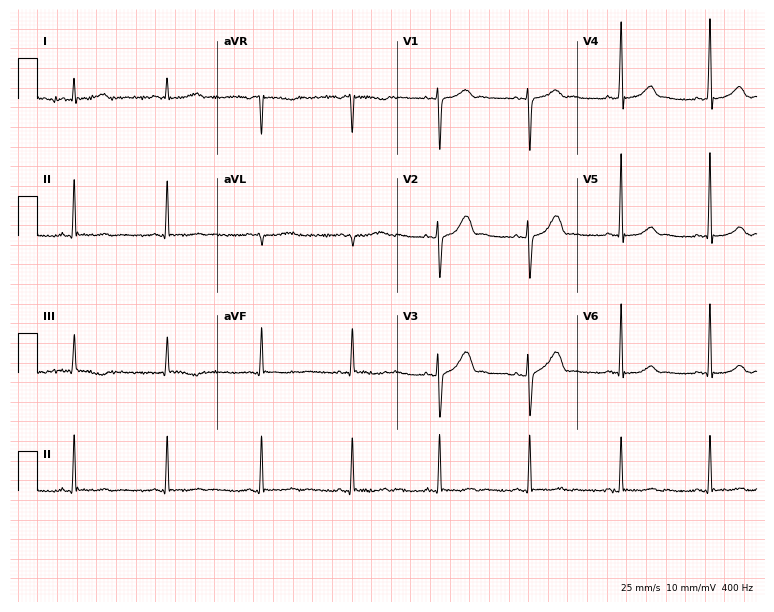
Standard 12-lead ECG recorded from a woman, 31 years old. Read as a normal ECG.